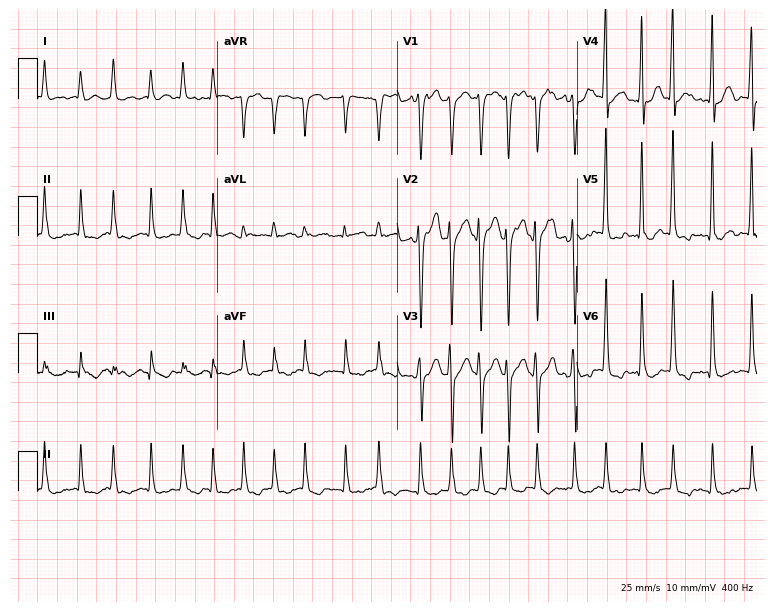
Resting 12-lead electrocardiogram. Patient: a 65-year-old male. The tracing shows atrial fibrillation.